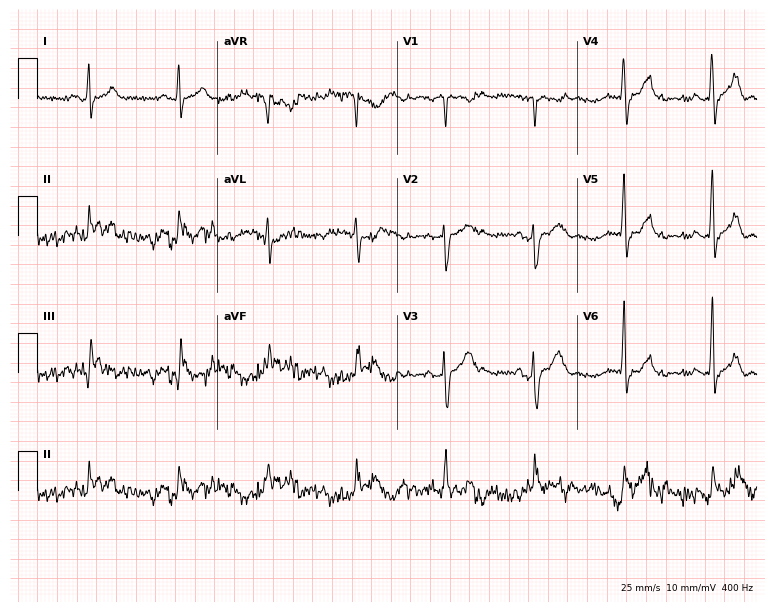
Electrocardiogram, a man, 36 years old. Of the six screened findings (first-degree AV block, right bundle branch block (RBBB), left bundle branch block (LBBB), sinus bradycardia, atrial fibrillation (AF), sinus tachycardia), none is recorded. Findings outside these six are not listed.